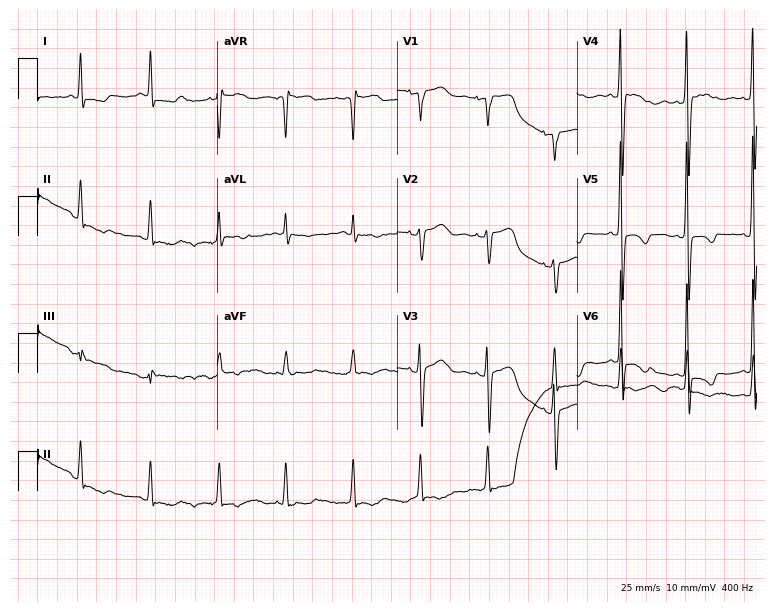
ECG — a 79-year-old woman. Screened for six findings — first-degree AV block, right bundle branch block, left bundle branch block, sinus bradycardia, atrial fibrillation, sinus tachycardia — none is recorded. Findings outside these six are not listed.